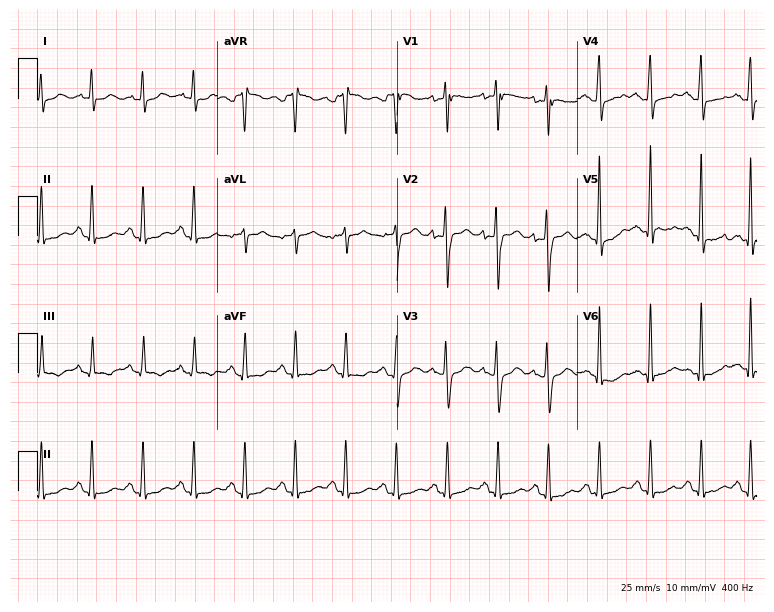
Standard 12-lead ECG recorded from a 40-year-old man (7.3-second recording at 400 Hz). The tracing shows sinus tachycardia (a sinus rate of 100 beats per minute or more).